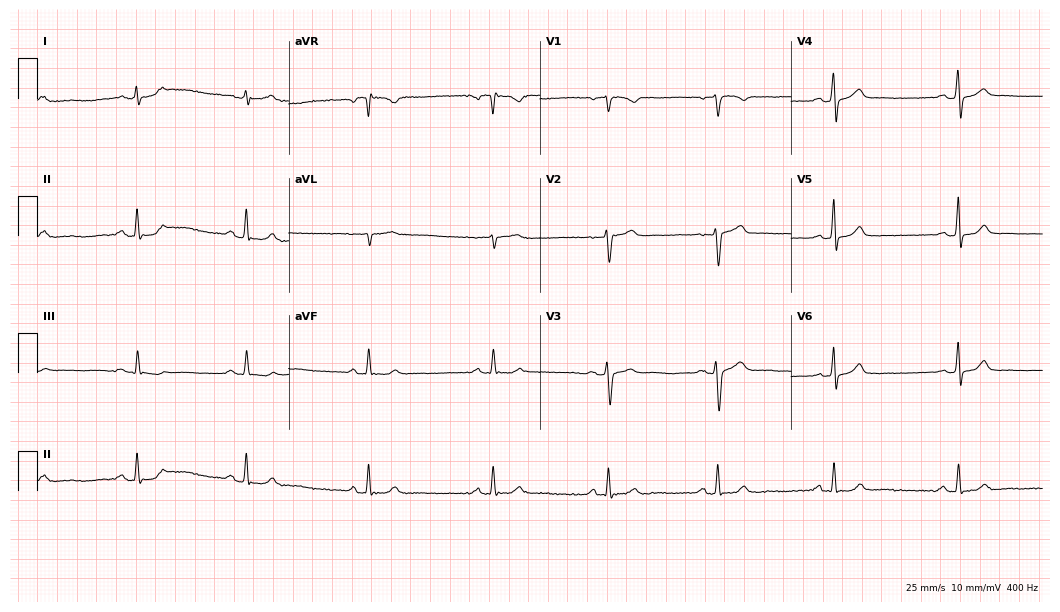
12-lead ECG from a 44-year-old female patient (10.2-second recording at 400 Hz). Recorded interpretation: within normal limits.